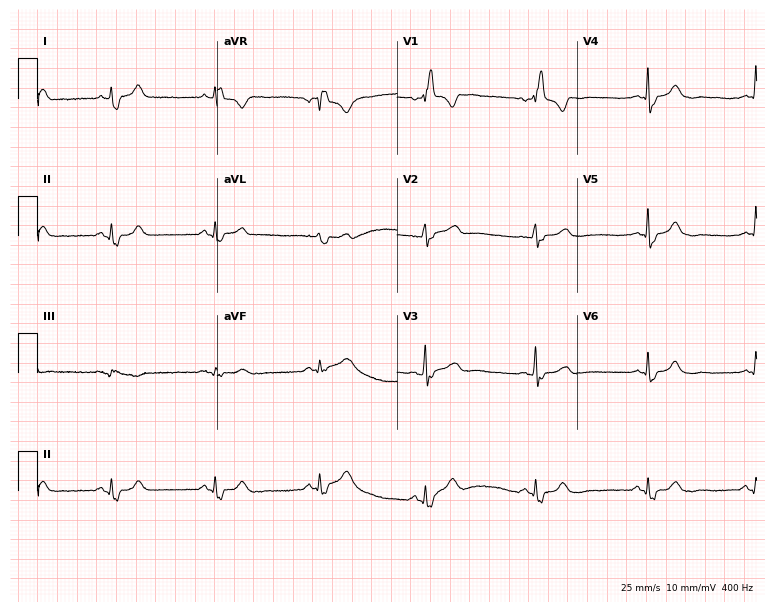
12-lead ECG from a female patient, 70 years old. No first-degree AV block, right bundle branch block, left bundle branch block, sinus bradycardia, atrial fibrillation or sinus tachycardia recorded for this tracing. Other findings, if any, are not listed.